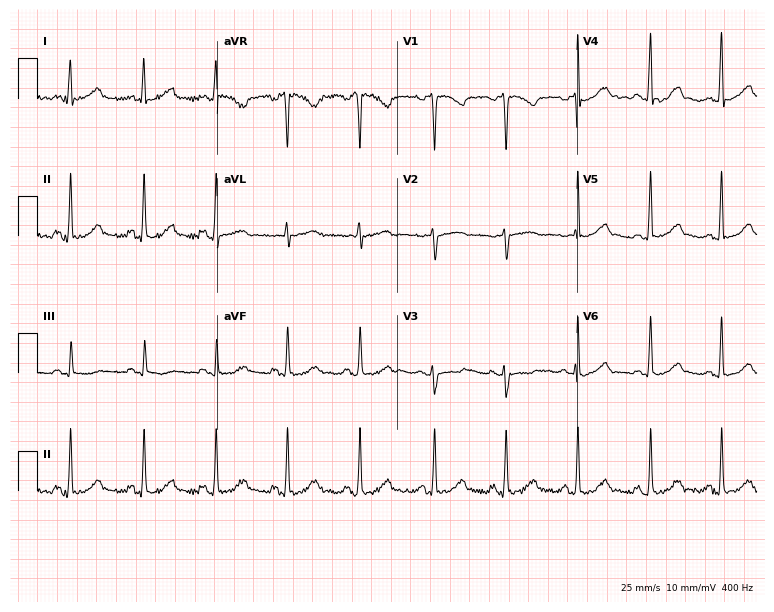
Standard 12-lead ECG recorded from a female, 30 years old. Read as a normal ECG.